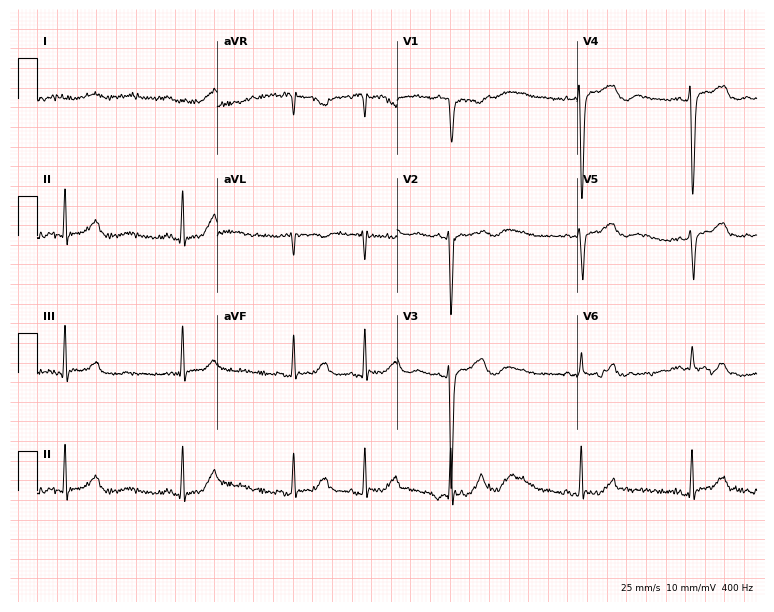
Resting 12-lead electrocardiogram (7.3-second recording at 400 Hz). Patient: a male, 75 years old. None of these six findings is recorded: first-degree AV block, right bundle branch block, left bundle branch block, sinus bradycardia, atrial fibrillation, sinus tachycardia. Only these six findings were labelled.